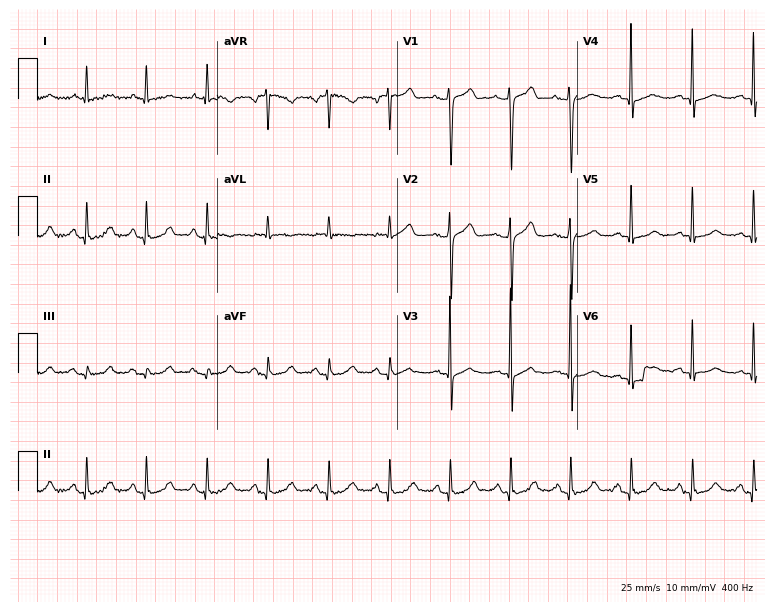
Resting 12-lead electrocardiogram (7.3-second recording at 400 Hz). Patient: a woman, 67 years old. None of these six findings is recorded: first-degree AV block, right bundle branch block (RBBB), left bundle branch block (LBBB), sinus bradycardia, atrial fibrillation (AF), sinus tachycardia.